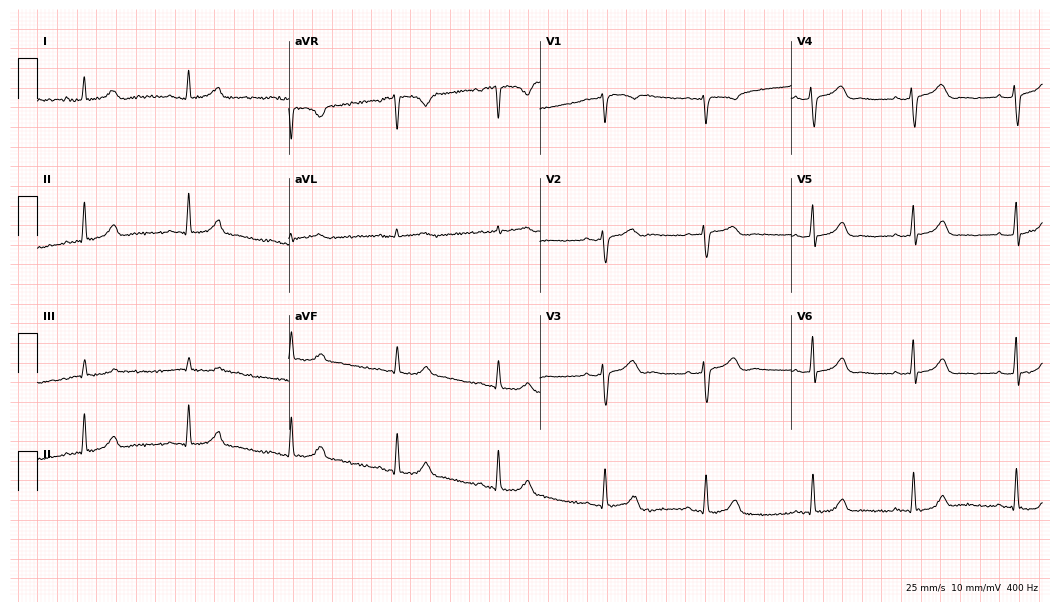
12-lead ECG from a 35-year-old woman. Labelled as a normal ECG.